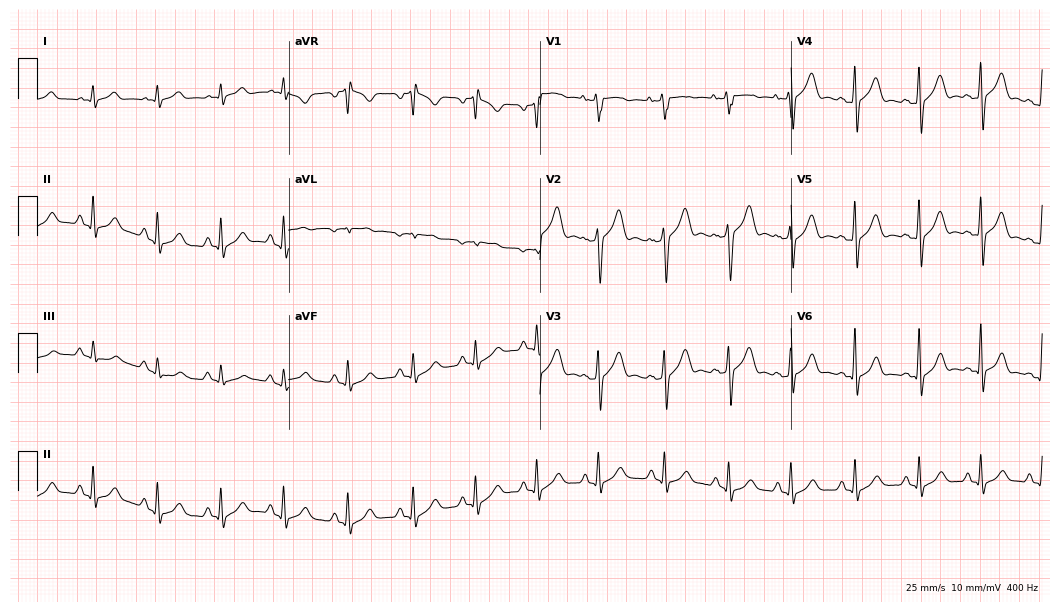
12-lead ECG from a 21-year-old male. Recorded interpretation: within normal limits.